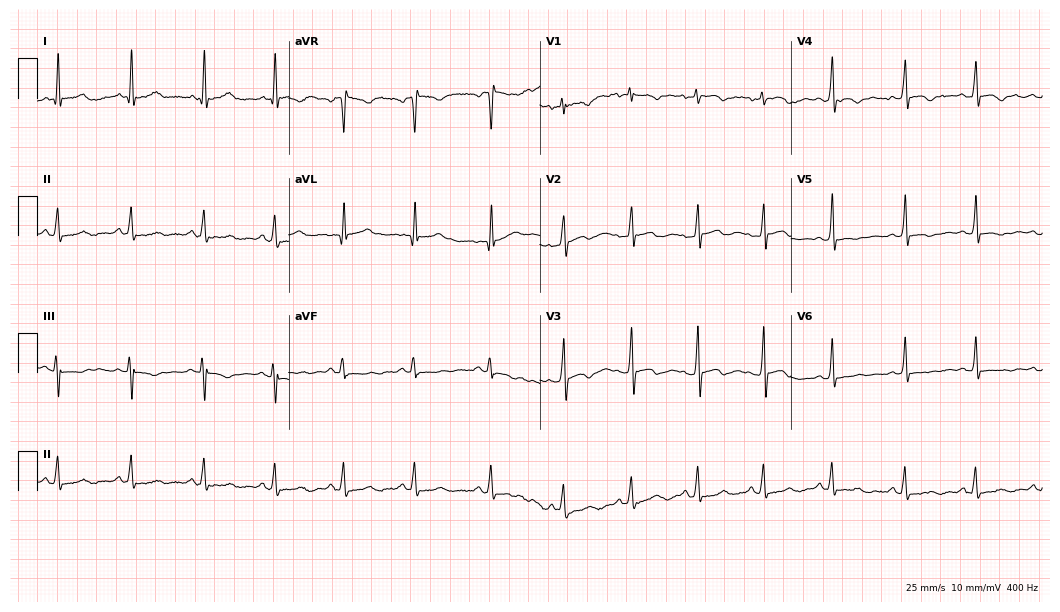
12-lead ECG from a 31-year-old female. No first-degree AV block, right bundle branch block (RBBB), left bundle branch block (LBBB), sinus bradycardia, atrial fibrillation (AF) or sinus tachycardia recorded for this tracing. Findings outside these six are not listed.